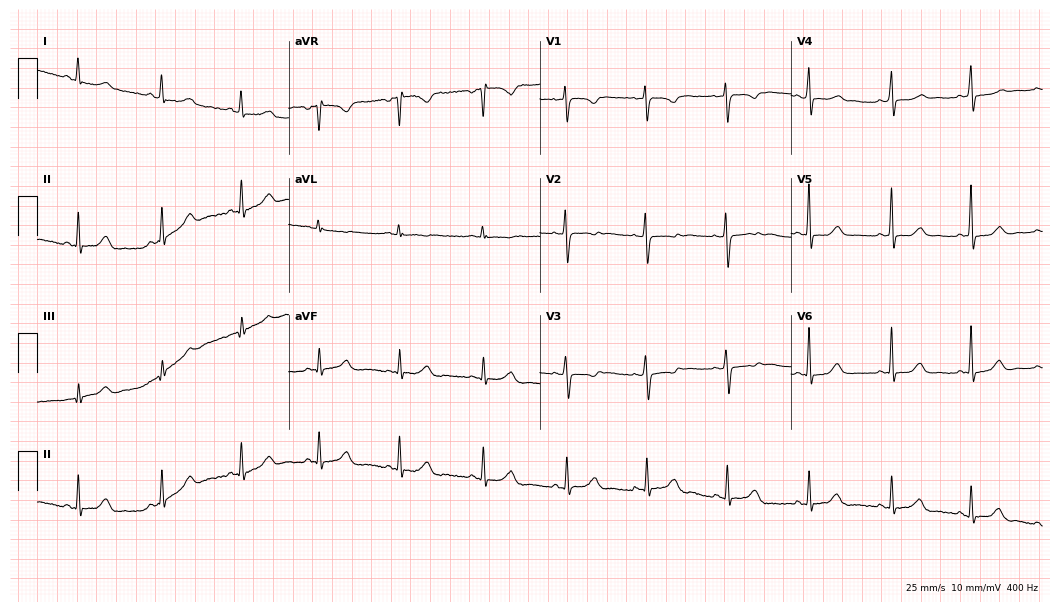
ECG (10.2-second recording at 400 Hz) — a woman, 41 years old. Screened for six findings — first-degree AV block, right bundle branch block (RBBB), left bundle branch block (LBBB), sinus bradycardia, atrial fibrillation (AF), sinus tachycardia — none is recorded. Other findings, if any, are not listed.